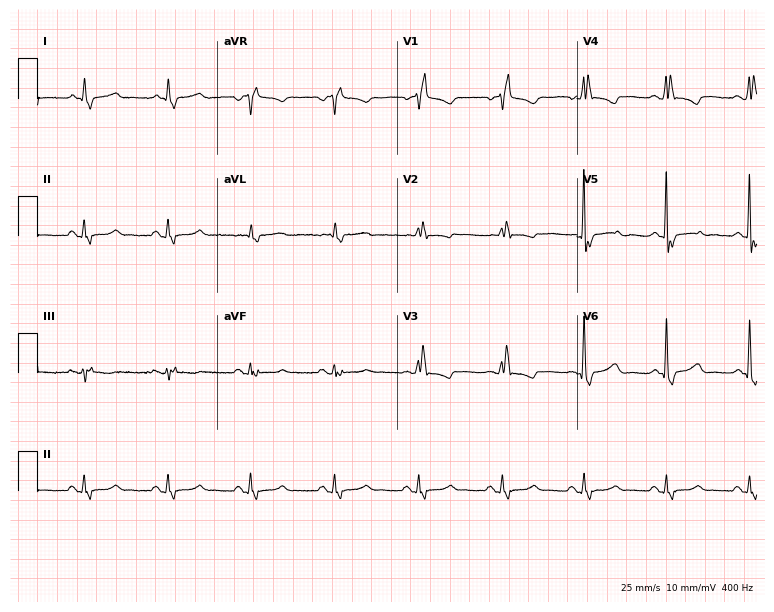
Electrocardiogram (7.3-second recording at 400 Hz), a 77-year-old female patient. Of the six screened findings (first-degree AV block, right bundle branch block (RBBB), left bundle branch block (LBBB), sinus bradycardia, atrial fibrillation (AF), sinus tachycardia), none is recorded. Only these six findings were labelled.